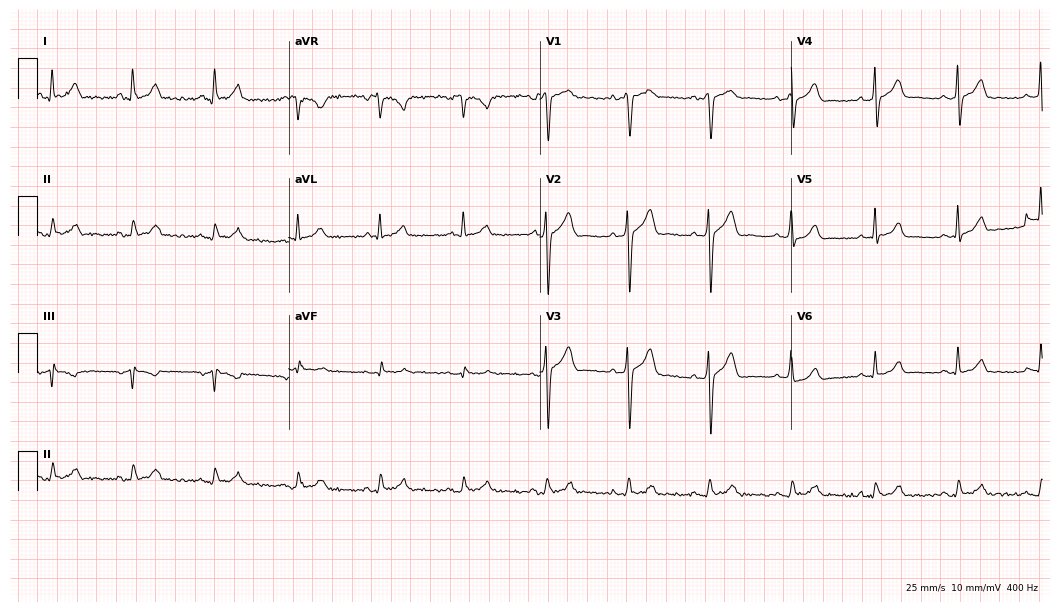
Electrocardiogram (10.2-second recording at 400 Hz), a man, 36 years old. Overall reading on record: normal ECG.